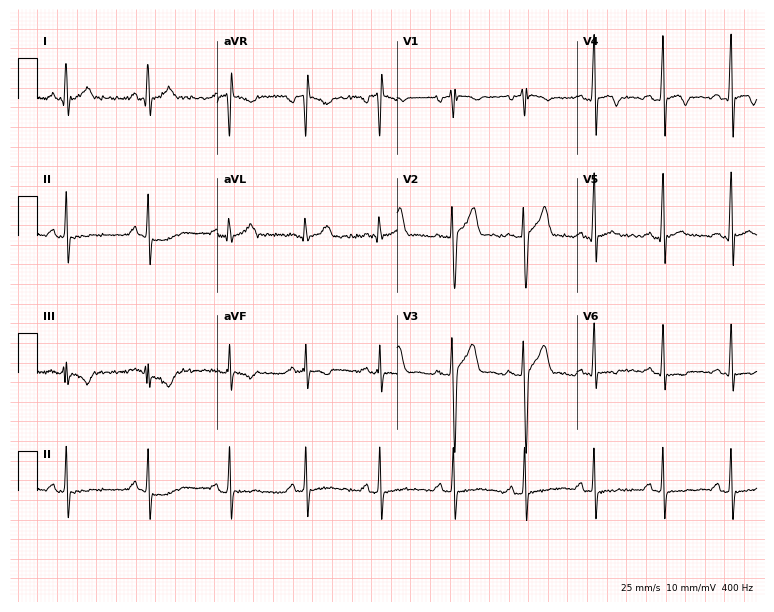
Standard 12-lead ECG recorded from a 26-year-old male. None of these six findings is recorded: first-degree AV block, right bundle branch block, left bundle branch block, sinus bradycardia, atrial fibrillation, sinus tachycardia. Other findings, if any, are not listed.